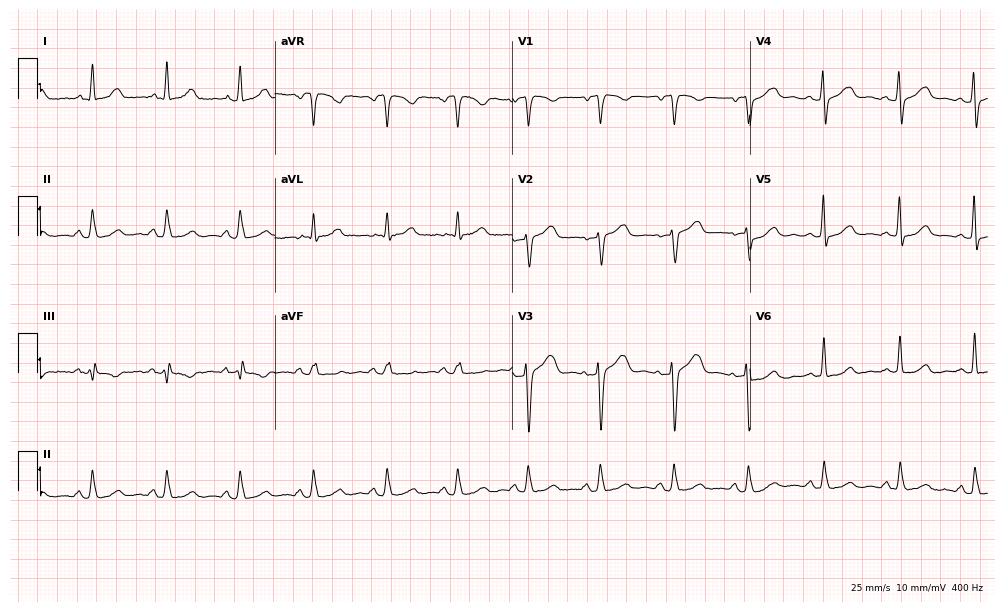
Standard 12-lead ECG recorded from a 45-year-old female patient. Read as a normal ECG.